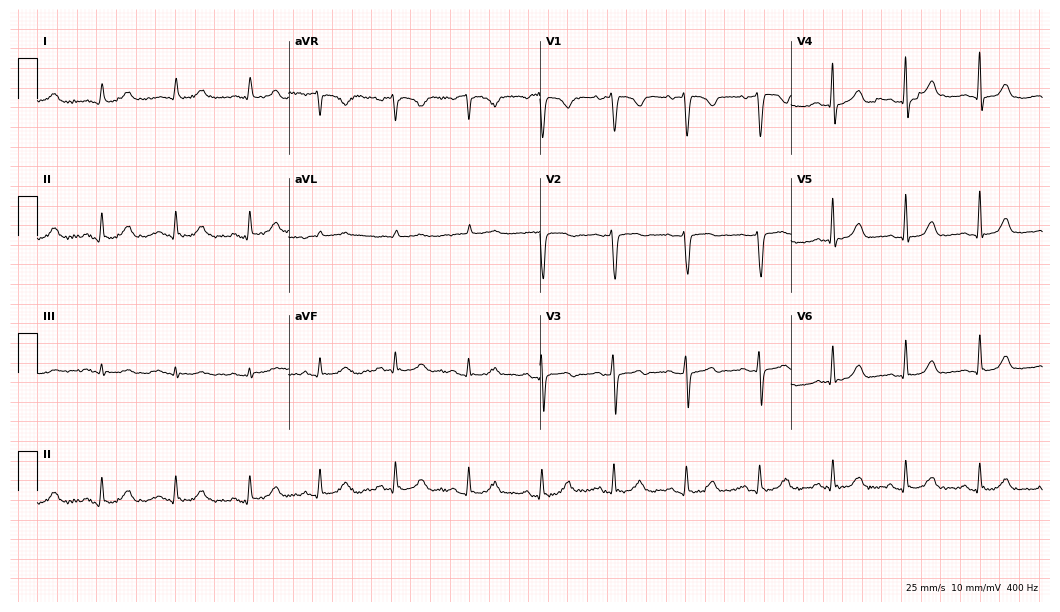
Resting 12-lead electrocardiogram. Patient: a female, 84 years old. Read as a normal ECG.